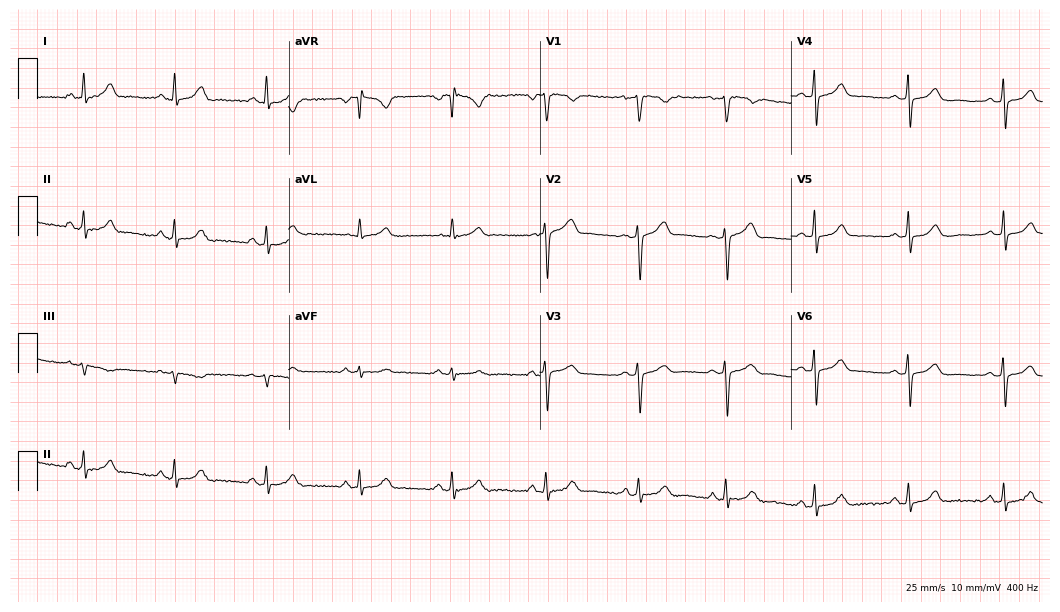
Resting 12-lead electrocardiogram (10.2-second recording at 400 Hz). Patient: a female, 33 years old. Read as a normal ECG.